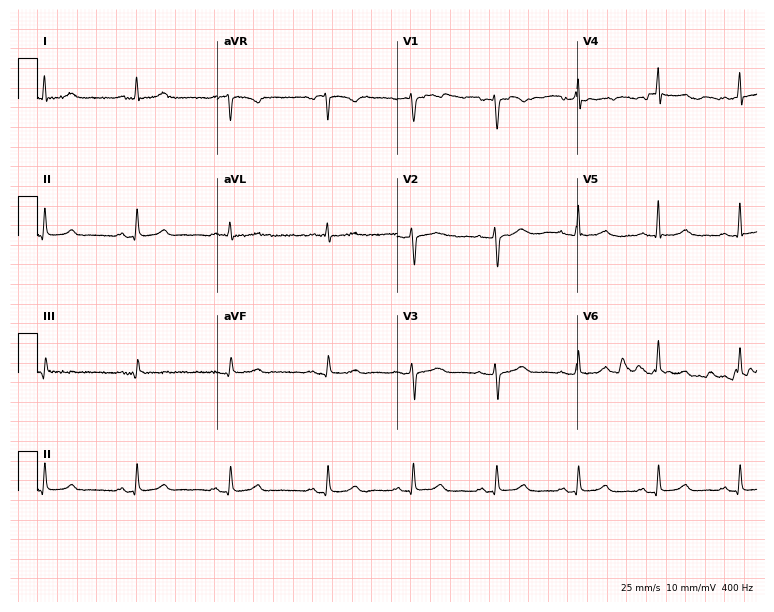
12-lead ECG from a 39-year-old female. Recorded interpretation: within normal limits.